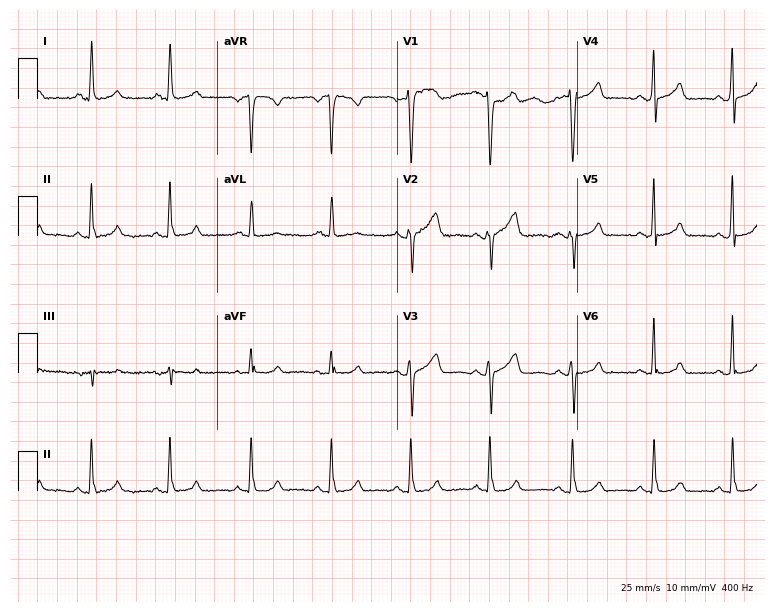
Electrocardiogram, a female, 40 years old. Of the six screened findings (first-degree AV block, right bundle branch block, left bundle branch block, sinus bradycardia, atrial fibrillation, sinus tachycardia), none is recorded. Findings outside these six are not listed.